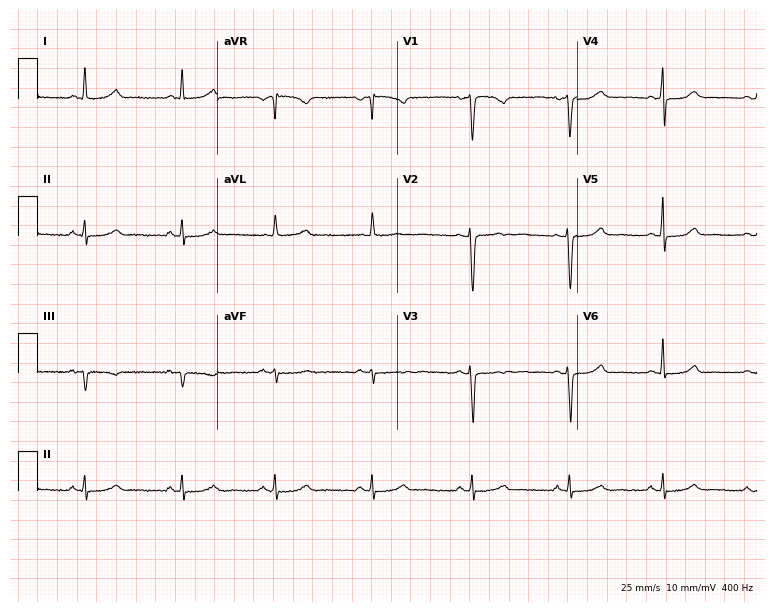
12-lead ECG from a woman, 48 years old. Recorded interpretation: within normal limits.